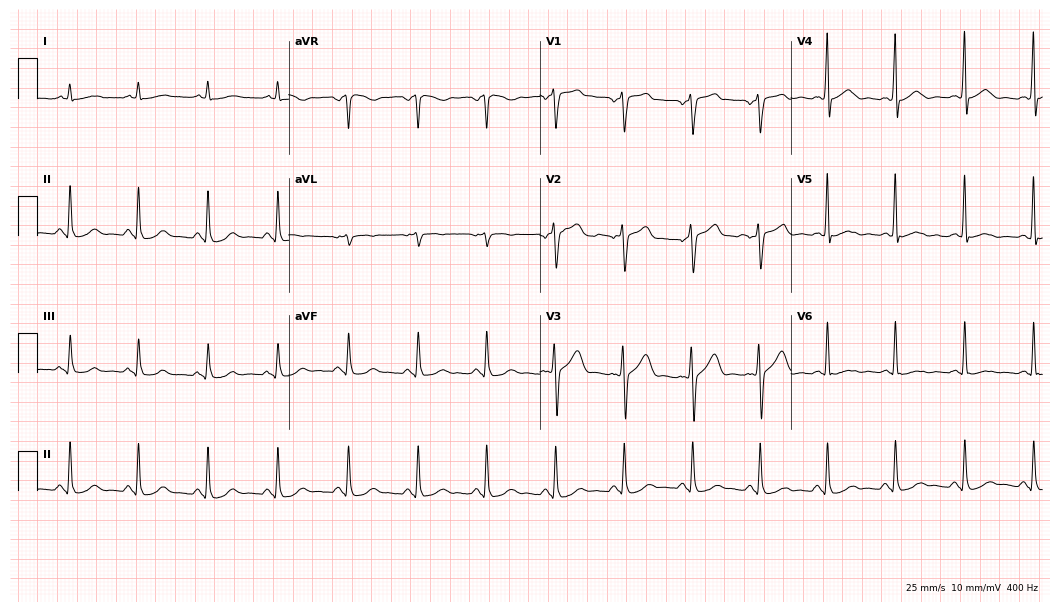
12-lead ECG from a male patient, 48 years old. Recorded interpretation: within normal limits.